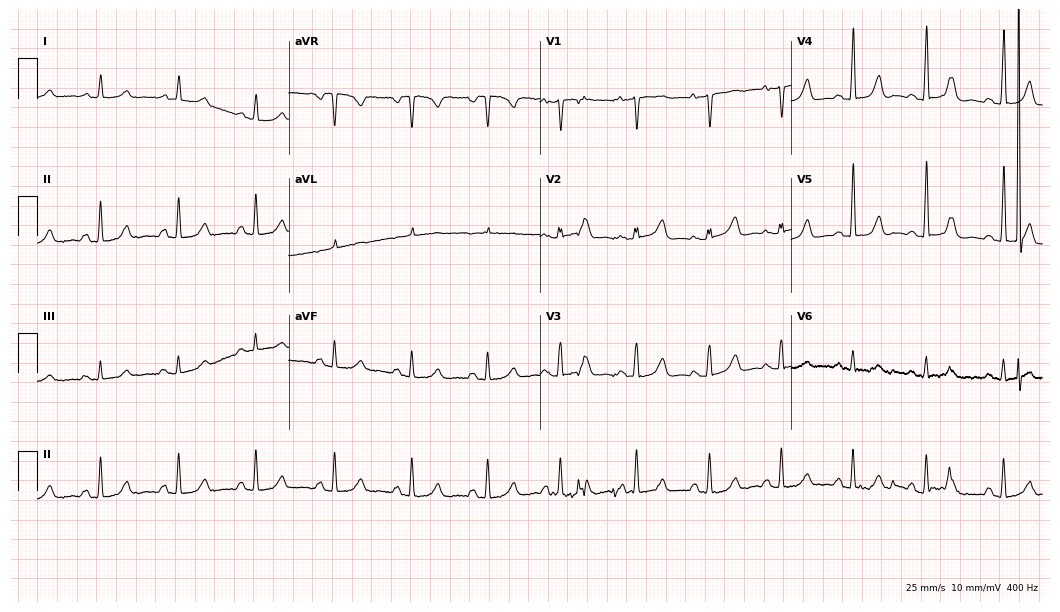
Resting 12-lead electrocardiogram (10.2-second recording at 400 Hz). Patient: a female, 54 years old. Read as a normal ECG.